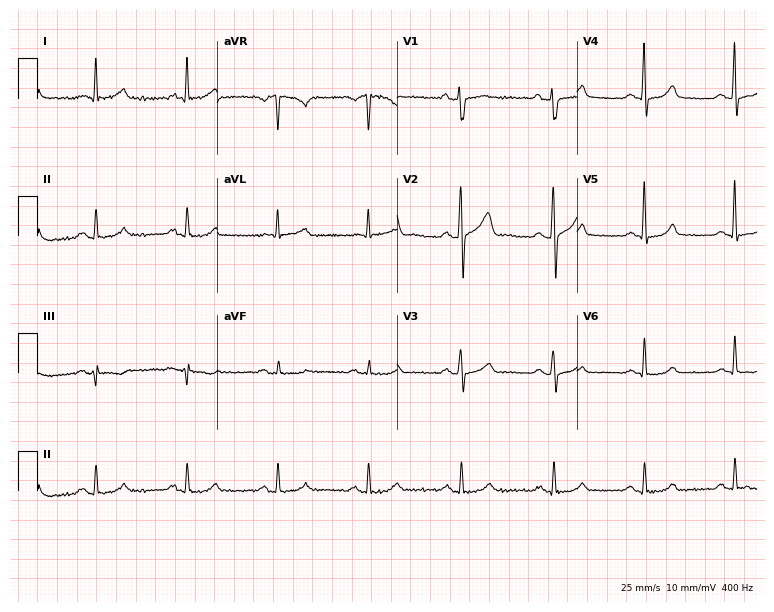
Standard 12-lead ECG recorded from a male, 57 years old. None of these six findings is recorded: first-degree AV block, right bundle branch block, left bundle branch block, sinus bradycardia, atrial fibrillation, sinus tachycardia.